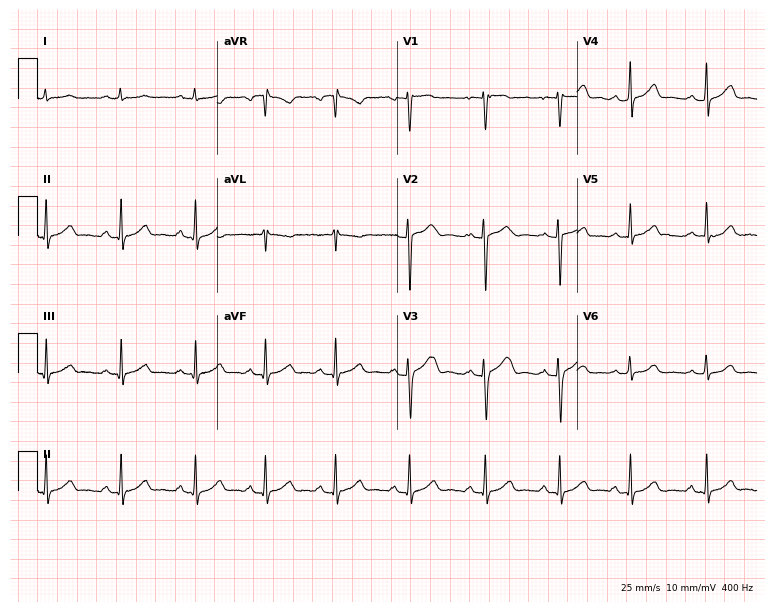
12-lead ECG from a 21-year-old female patient. No first-degree AV block, right bundle branch block, left bundle branch block, sinus bradycardia, atrial fibrillation or sinus tachycardia recorded for this tracing.